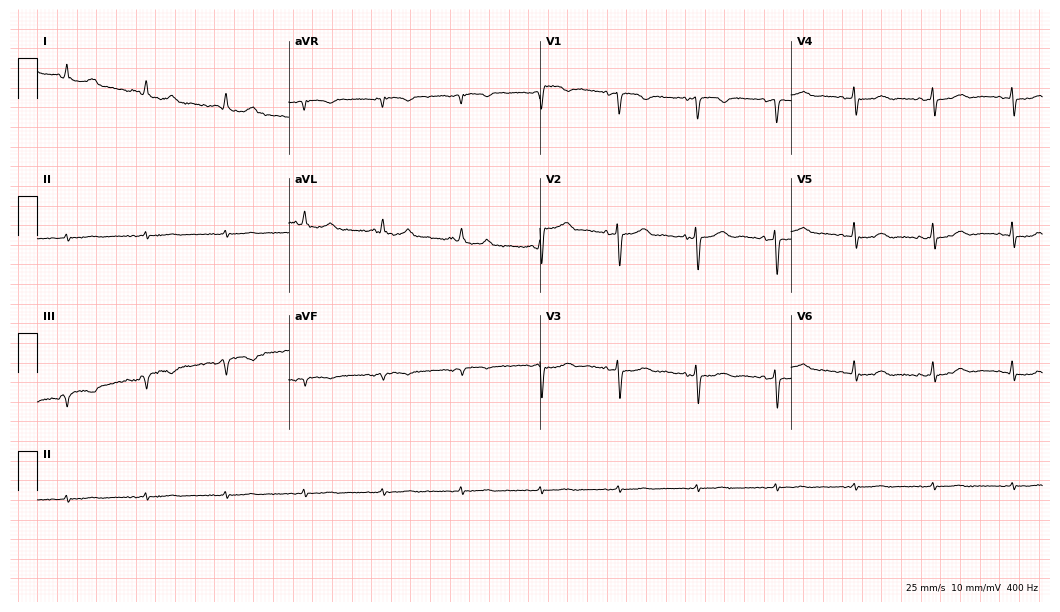
Resting 12-lead electrocardiogram (10.2-second recording at 400 Hz). Patient: an 82-year-old female. None of these six findings is recorded: first-degree AV block, right bundle branch block, left bundle branch block, sinus bradycardia, atrial fibrillation, sinus tachycardia. Findings outside these six are not listed.